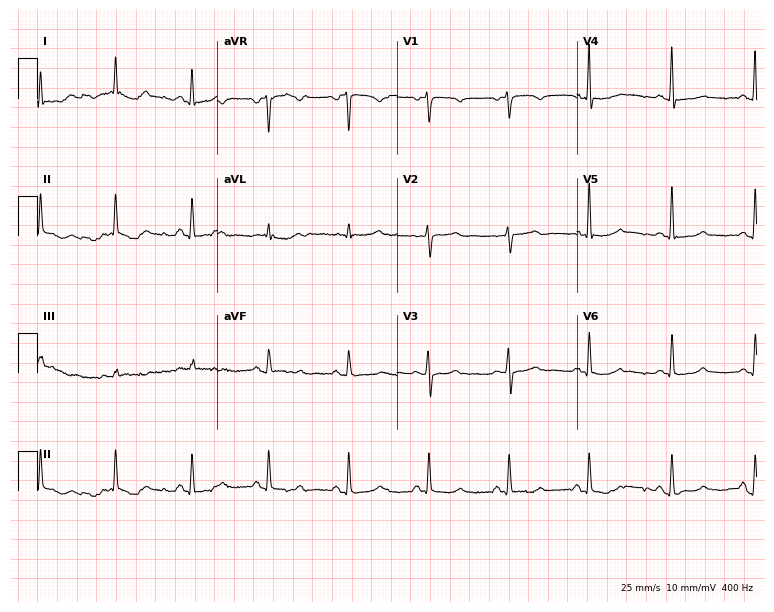
12-lead ECG (7.3-second recording at 400 Hz) from a 49-year-old woman. Screened for six findings — first-degree AV block, right bundle branch block, left bundle branch block, sinus bradycardia, atrial fibrillation, sinus tachycardia — none is recorded. Only these six findings were labelled.